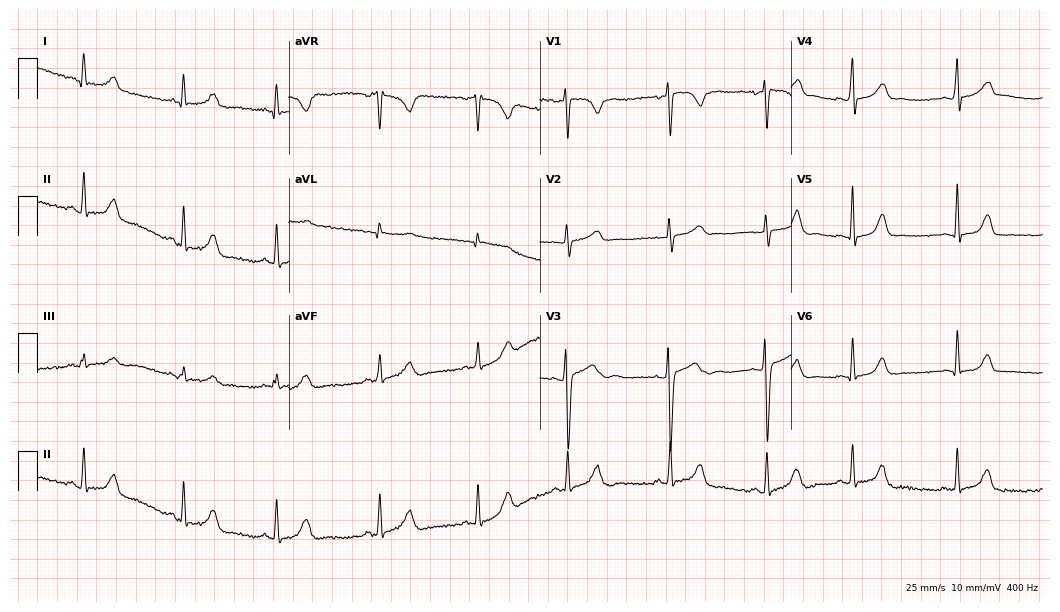
Resting 12-lead electrocardiogram (10.2-second recording at 400 Hz). Patient: a 22-year-old female. None of these six findings is recorded: first-degree AV block, right bundle branch block (RBBB), left bundle branch block (LBBB), sinus bradycardia, atrial fibrillation (AF), sinus tachycardia.